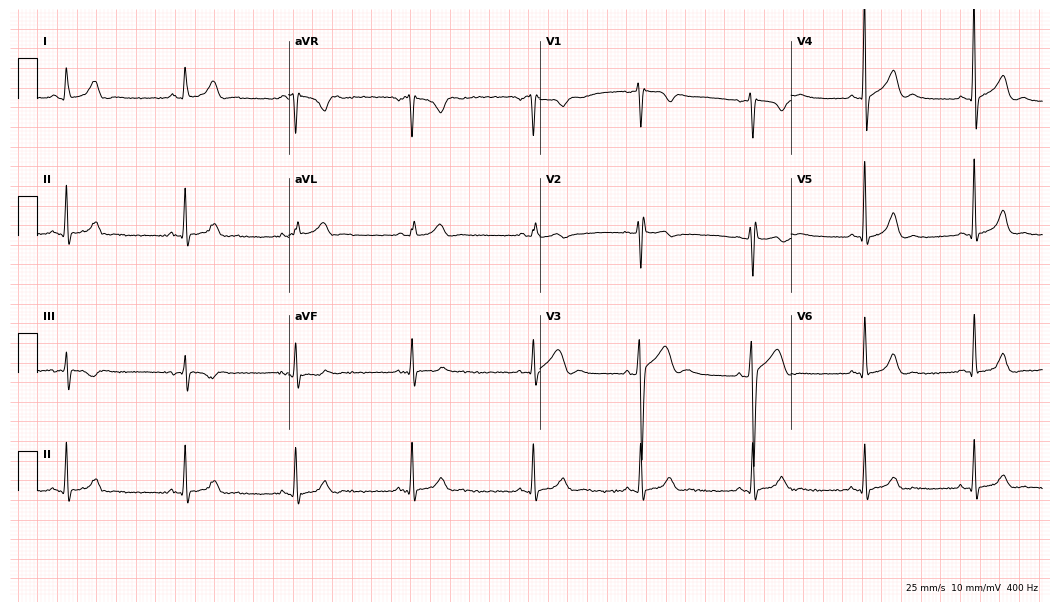
Electrocardiogram (10.2-second recording at 400 Hz), a man, 20 years old. Of the six screened findings (first-degree AV block, right bundle branch block (RBBB), left bundle branch block (LBBB), sinus bradycardia, atrial fibrillation (AF), sinus tachycardia), none is recorded.